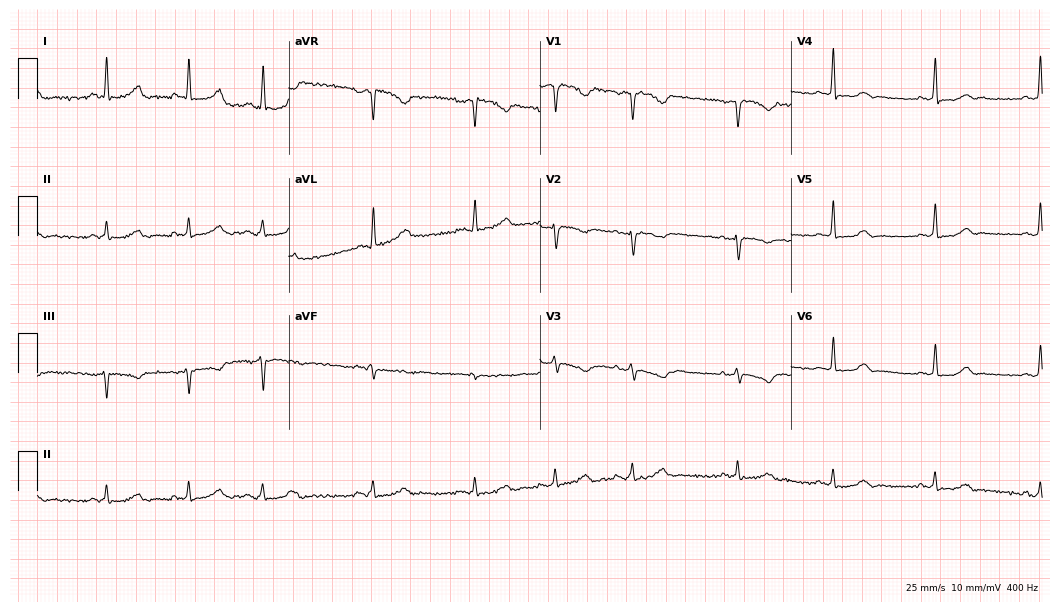
Standard 12-lead ECG recorded from a woman, 48 years old. None of these six findings is recorded: first-degree AV block, right bundle branch block, left bundle branch block, sinus bradycardia, atrial fibrillation, sinus tachycardia. Findings outside these six are not listed.